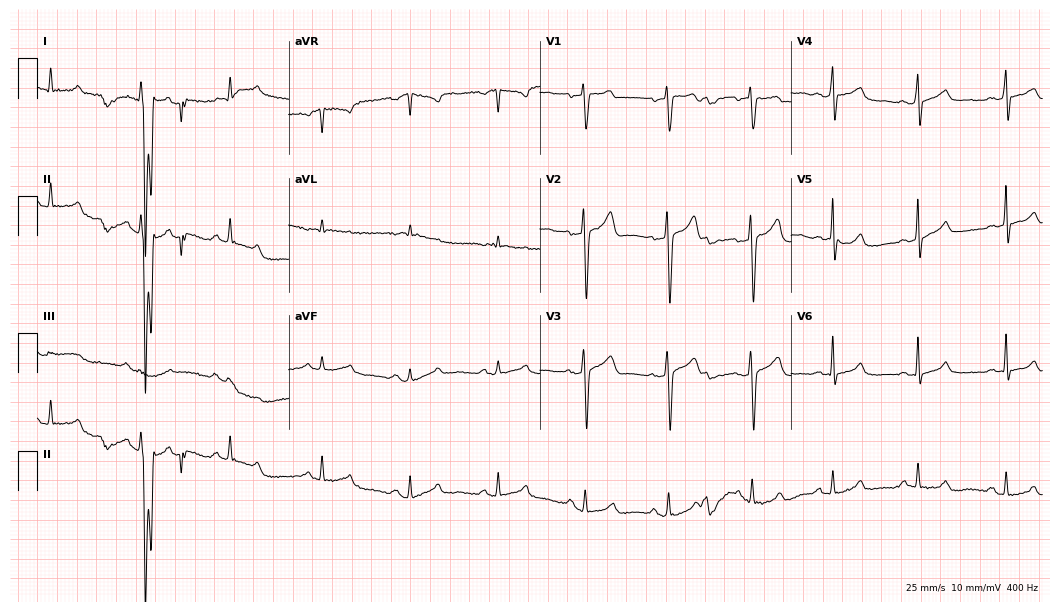
Electrocardiogram (10.2-second recording at 400 Hz), a 41-year-old man. Of the six screened findings (first-degree AV block, right bundle branch block (RBBB), left bundle branch block (LBBB), sinus bradycardia, atrial fibrillation (AF), sinus tachycardia), none is recorded.